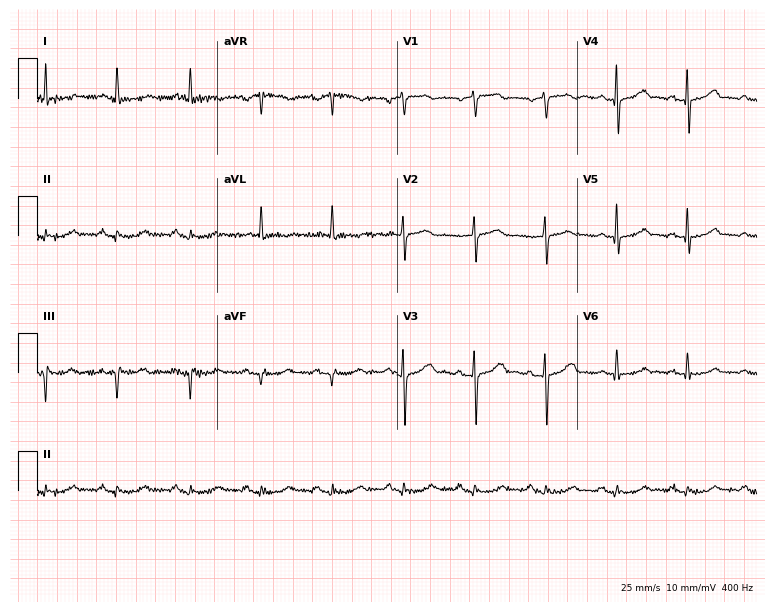
Standard 12-lead ECG recorded from a female patient, 71 years old (7.3-second recording at 400 Hz). None of these six findings is recorded: first-degree AV block, right bundle branch block (RBBB), left bundle branch block (LBBB), sinus bradycardia, atrial fibrillation (AF), sinus tachycardia.